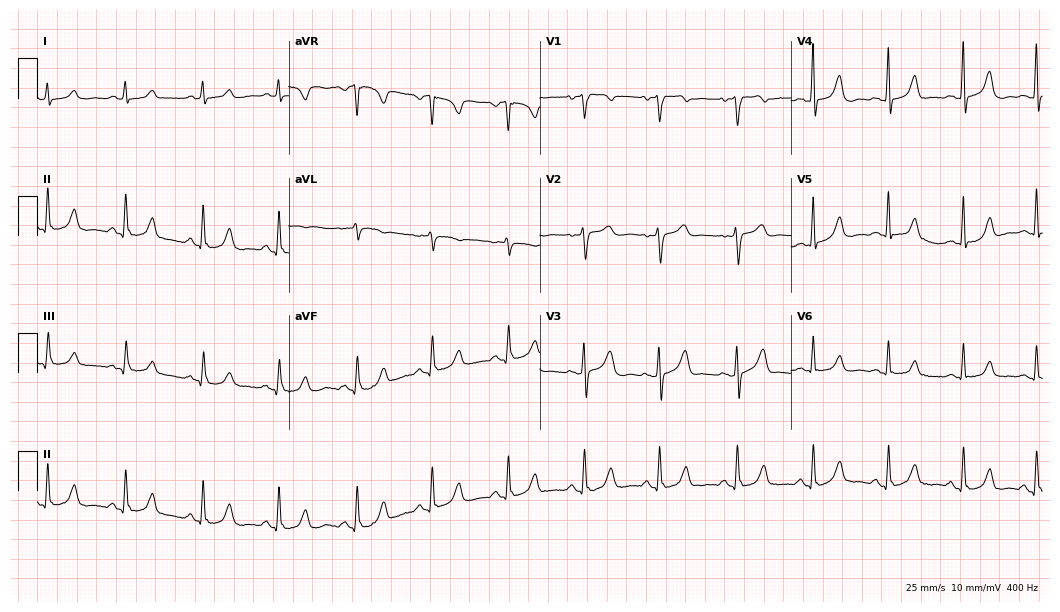
Standard 12-lead ECG recorded from a female patient, 56 years old. None of these six findings is recorded: first-degree AV block, right bundle branch block, left bundle branch block, sinus bradycardia, atrial fibrillation, sinus tachycardia.